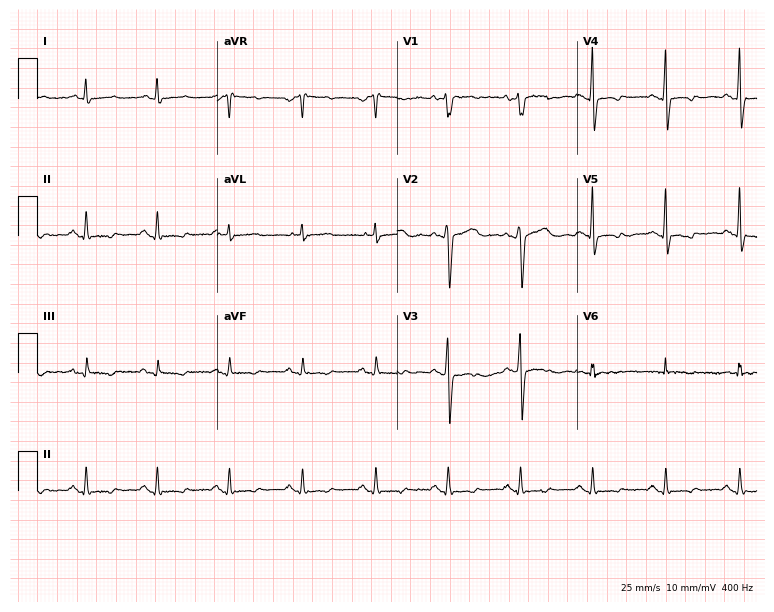
Standard 12-lead ECG recorded from a 54-year-old female patient (7.3-second recording at 400 Hz). None of these six findings is recorded: first-degree AV block, right bundle branch block, left bundle branch block, sinus bradycardia, atrial fibrillation, sinus tachycardia.